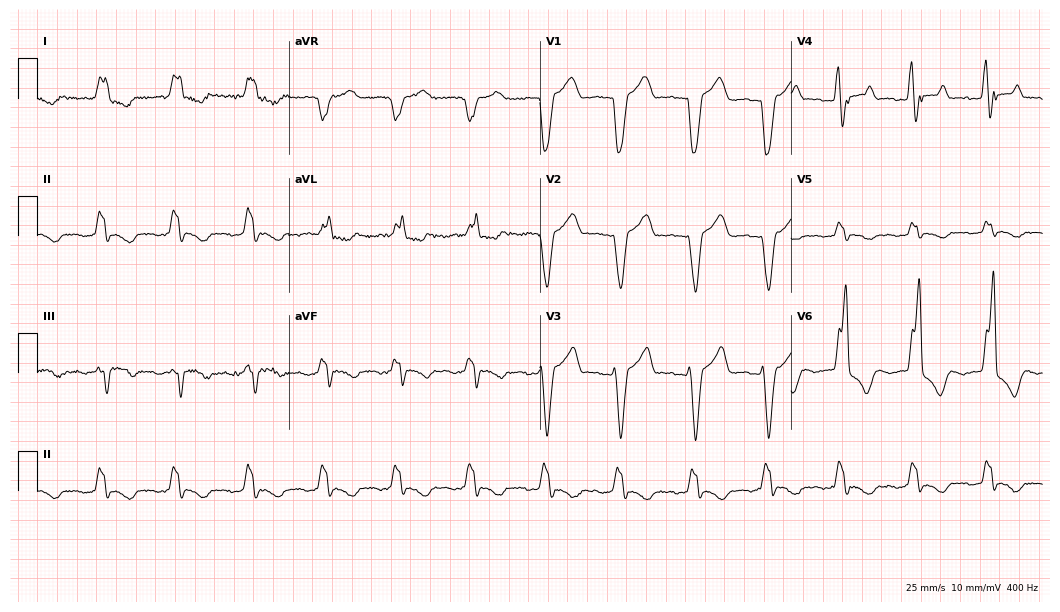
Standard 12-lead ECG recorded from a 72-year-old male patient. The tracing shows left bundle branch block.